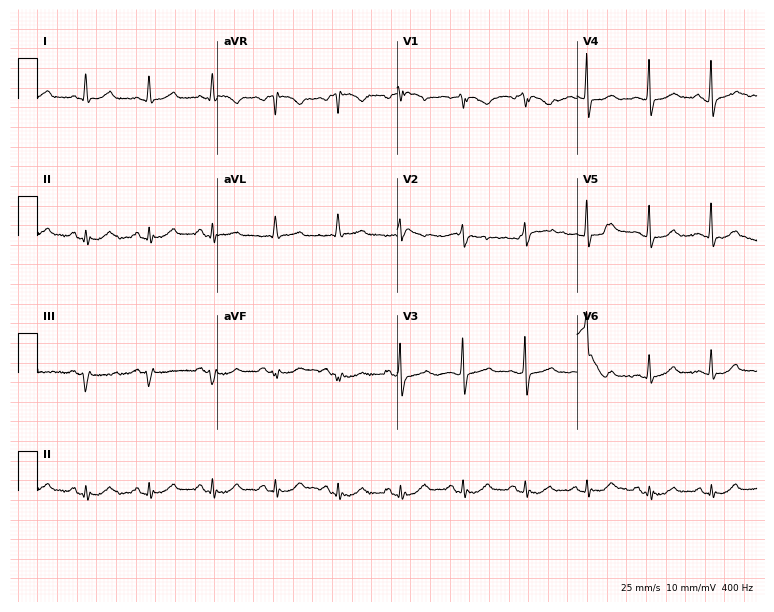
Standard 12-lead ECG recorded from a woman, 58 years old (7.3-second recording at 400 Hz). None of these six findings is recorded: first-degree AV block, right bundle branch block (RBBB), left bundle branch block (LBBB), sinus bradycardia, atrial fibrillation (AF), sinus tachycardia. Only these six findings were labelled.